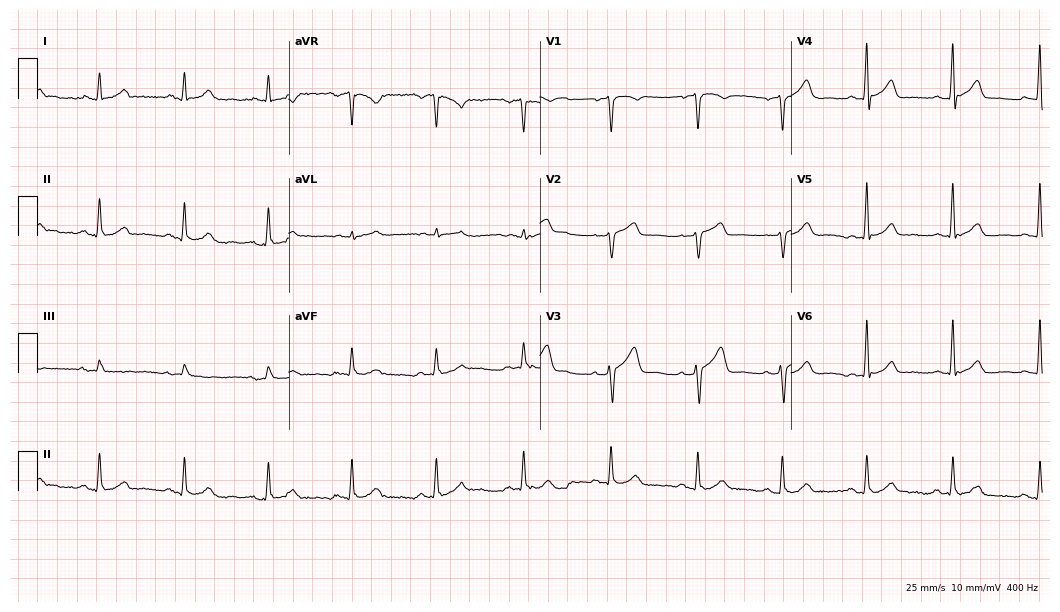
Electrocardiogram (10.2-second recording at 400 Hz), a man, 58 years old. Overall reading on record: normal ECG.